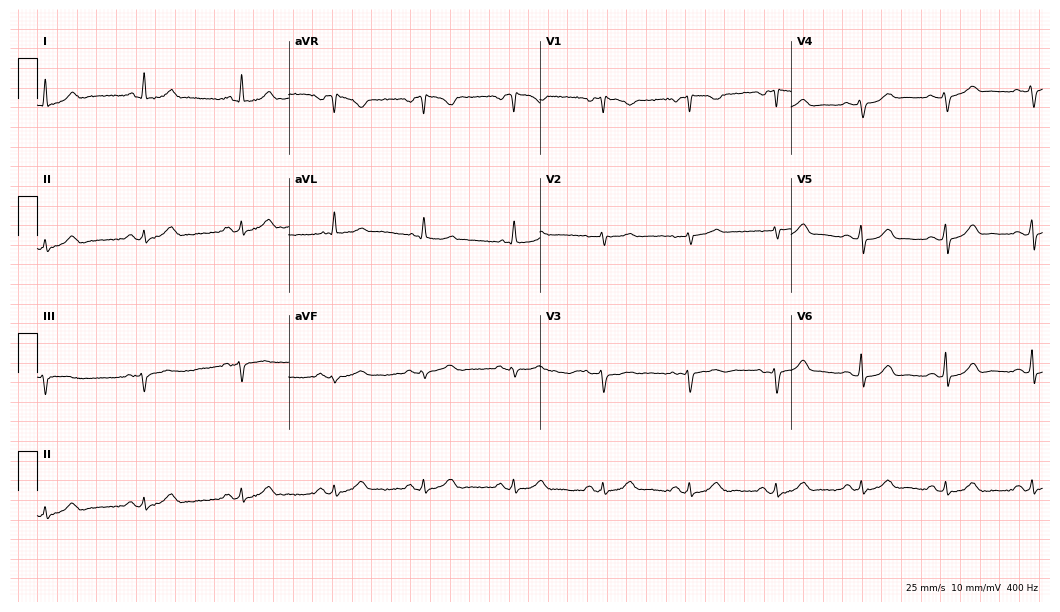
12-lead ECG from a 64-year-old female patient. Screened for six findings — first-degree AV block, right bundle branch block, left bundle branch block, sinus bradycardia, atrial fibrillation, sinus tachycardia — none is recorded.